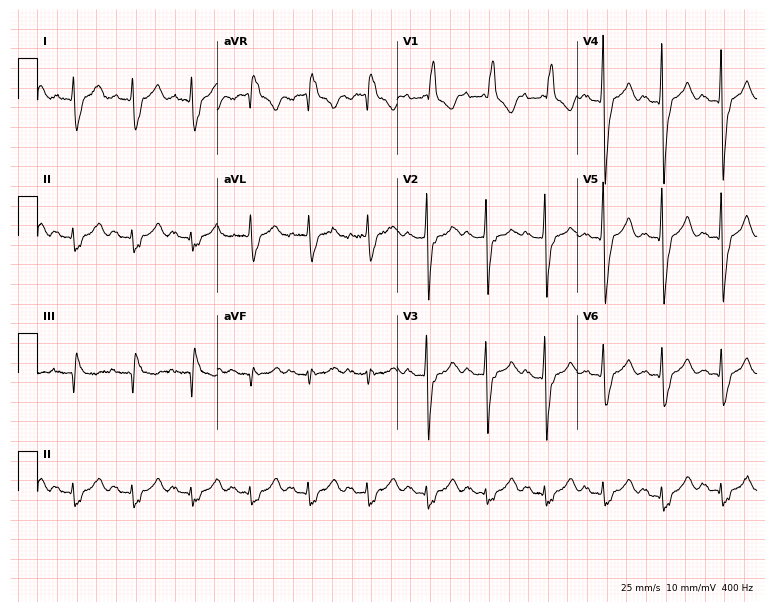
Electrocardiogram, a man, 83 years old. Interpretation includes first-degree AV block, right bundle branch block.